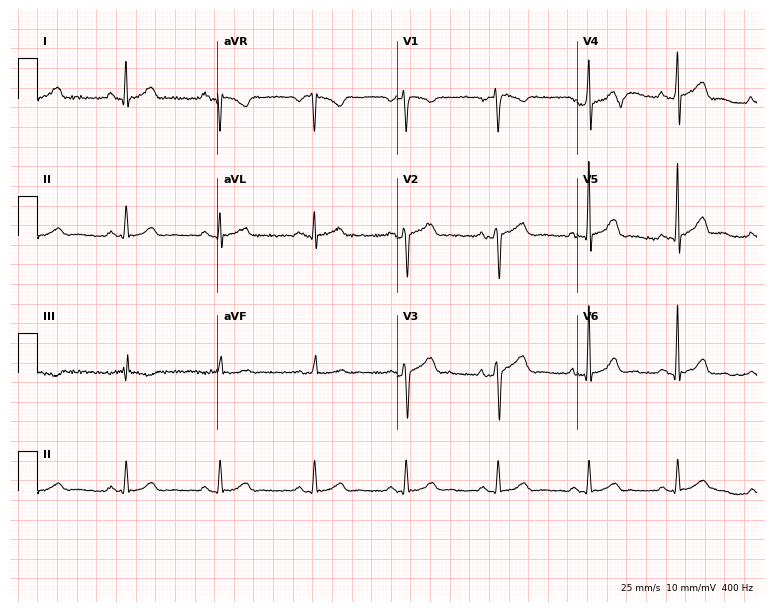
Resting 12-lead electrocardiogram. Patient: a 45-year-old male. Read as a normal ECG.